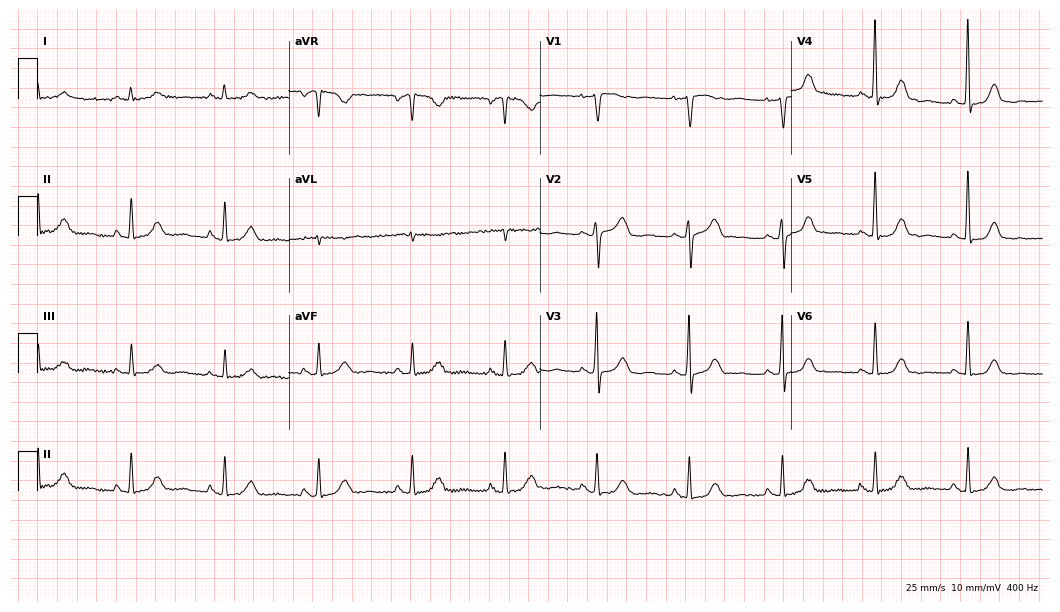
Electrocardiogram, a woman, 73 years old. Overall reading on record: normal ECG.